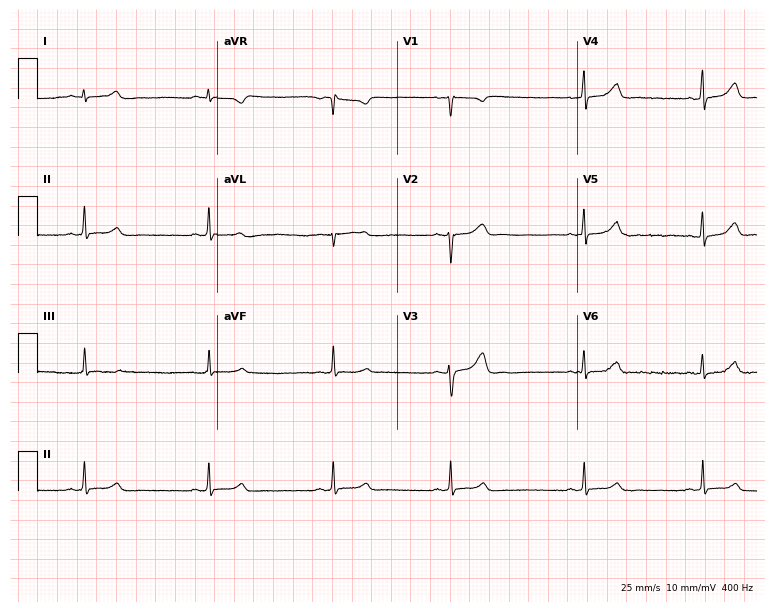
12-lead ECG (7.3-second recording at 400 Hz) from a 21-year-old female patient. Labelled as a normal ECG.